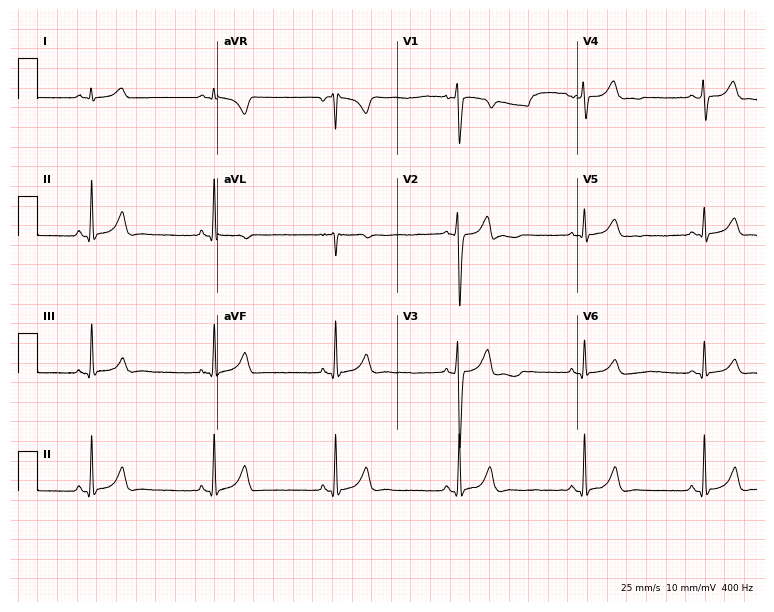
Electrocardiogram (7.3-second recording at 400 Hz), a male, 18 years old. Interpretation includes sinus bradycardia (a sinus rate of 50 beats per minute or less).